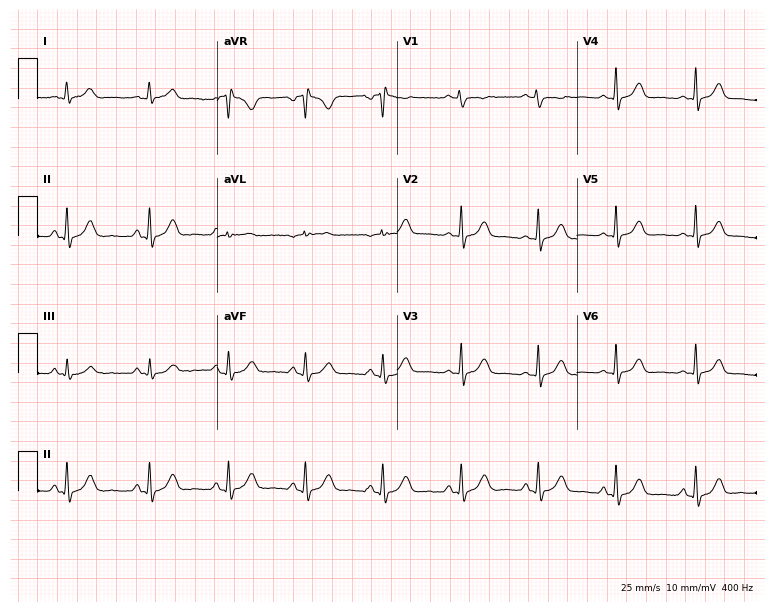
12-lead ECG from a woman, 23 years old (7.3-second recording at 400 Hz). No first-degree AV block, right bundle branch block, left bundle branch block, sinus bradycardia, atrial fibrillation or sinus tachycardia recorded for this tracing. Findings outside these six are not listed.